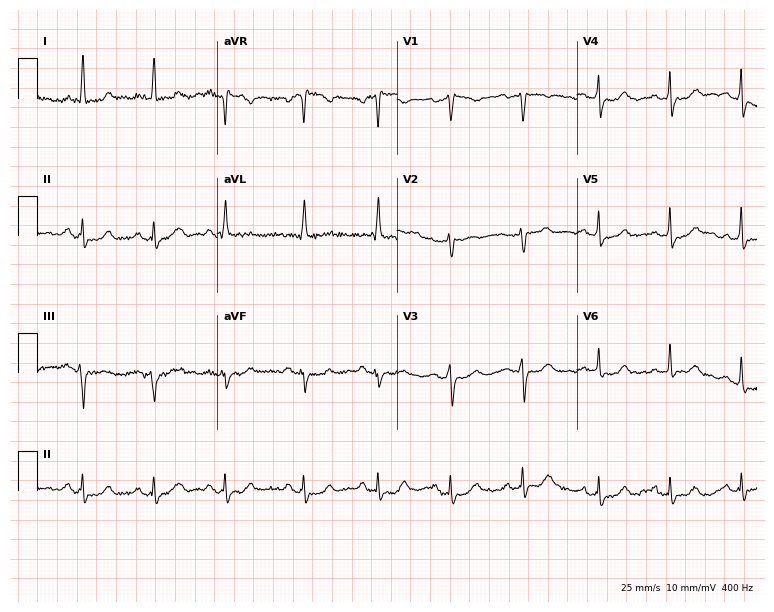
ECG — a female, 65 years old. Screened for six findings — first-degree AV block, right bundle branch block, left bundle branch block, sinus bradycardia, atrial fibrillation, sinus tachycardia — none is recorded. Findings outside these six are not listed.